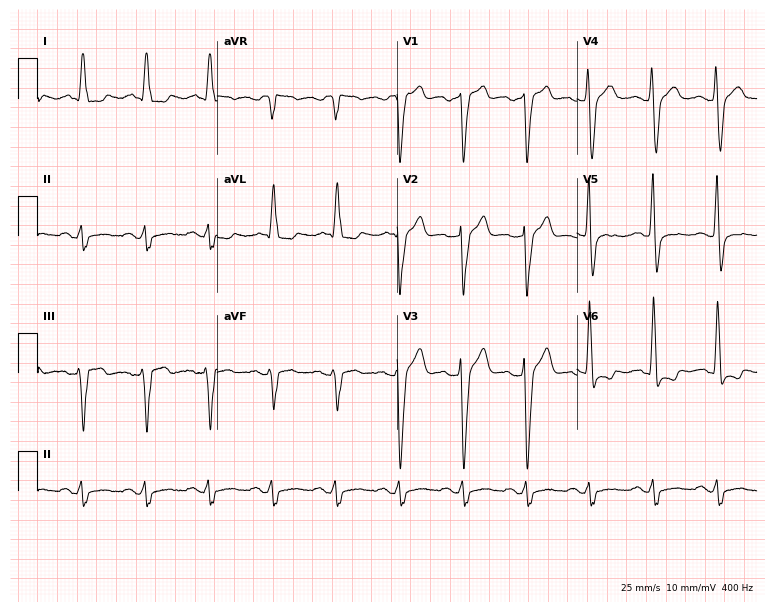
Resting 12-lead electrocardiogram (7.3-second recording at 400 Hz). Patient: a 68-year-old male. None of these six findings is recorded: first-degree AV block, right bundle branch block, left bundle branch block, sinus bradycardia, atrial fibrillation, sinus tachycardia.